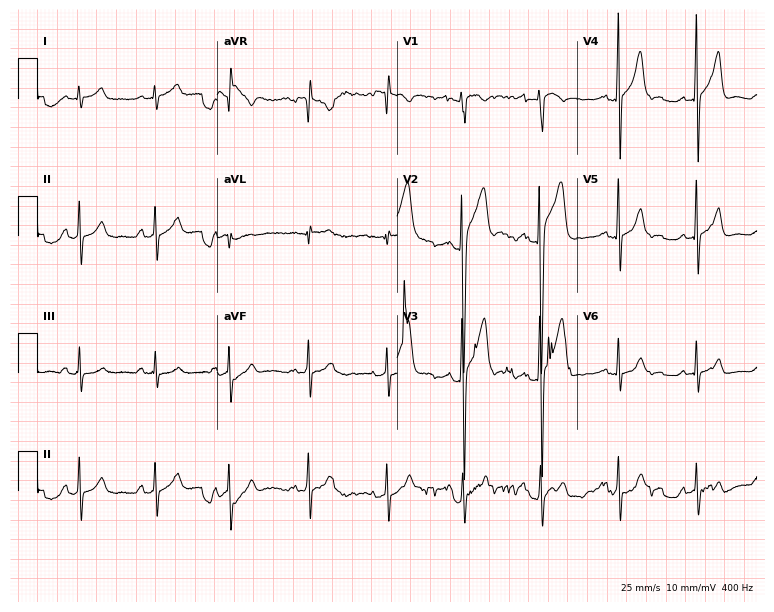
Resting 12-lead electrocardiogram (7.3-second recording at 400 Hz). Patient: a 34-year-old male. None of these six findings is recorded: first-degree AV block, right bundle branch block (RBBB), left bundle branch block (LBBB), sinus bradycardia, atrial fibrillation (AF), sinus tachycardia. Other findings, if any, are not listed.